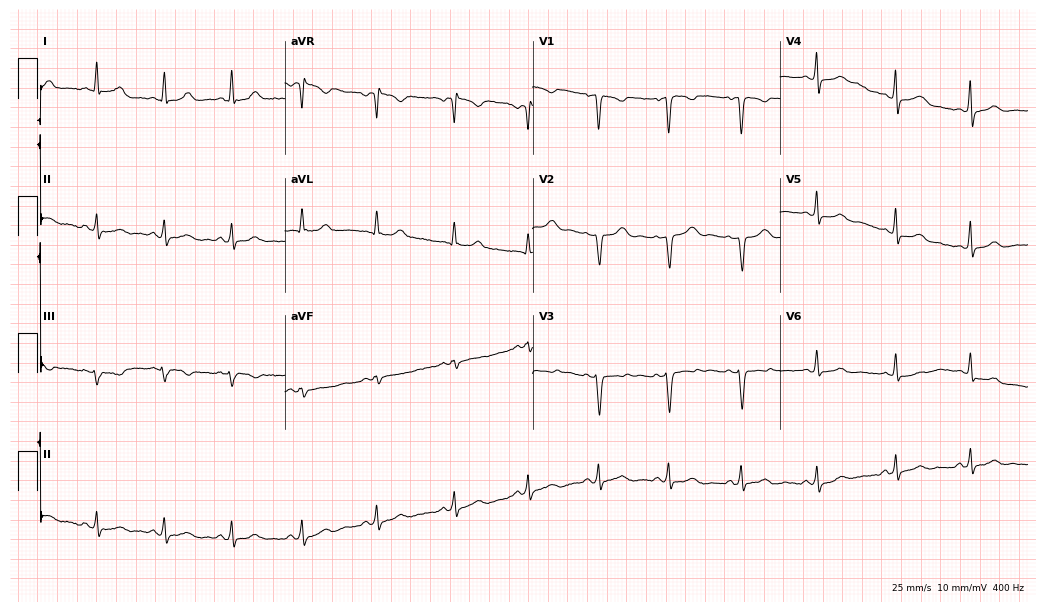
Standard 12-lead ECG recorded from a 35-year-old woman (10.1-second recording at 400 Hz). None of these six findings is recorded: first-degree AV block, right bundle branch block, left bundle branch block, sinus bradycardia, atrial fibrillation, sinus tachycardia. Only these six findings were labelled.